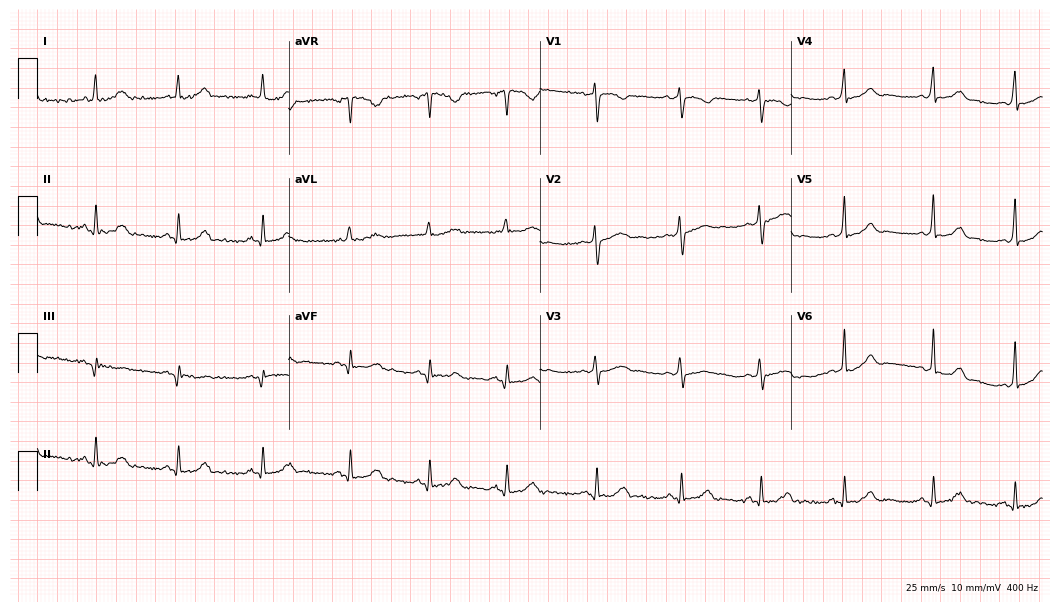
Resting 12-lead electrocardiogram (10.2-second recording at 400 Hz). Patient: a 22-year-old woman. Read as a normal ECG.